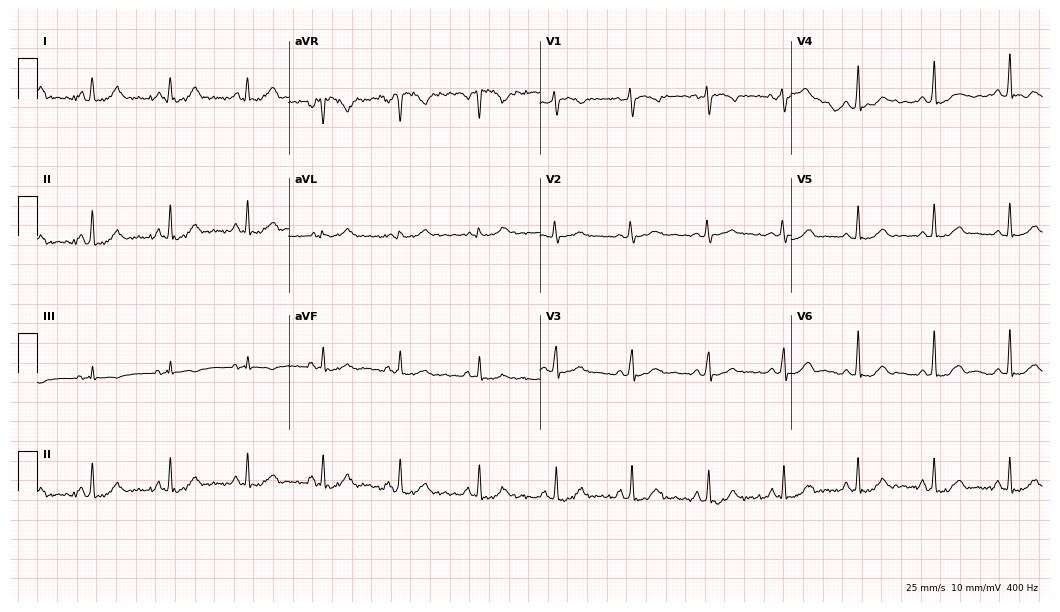
Standard 12-lead ECG recorded from a woman, 41 years old (10.2-second recording at 400 Hz). Read as a normal ECG.